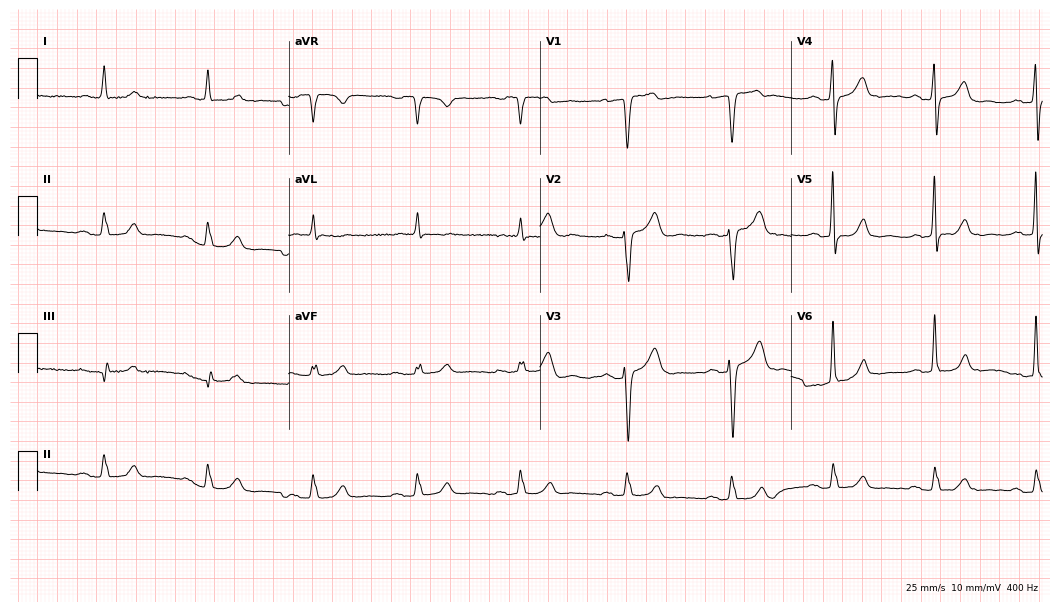
12-lead ECG from an 88-year-old male patient. Shows first-degree AV block.